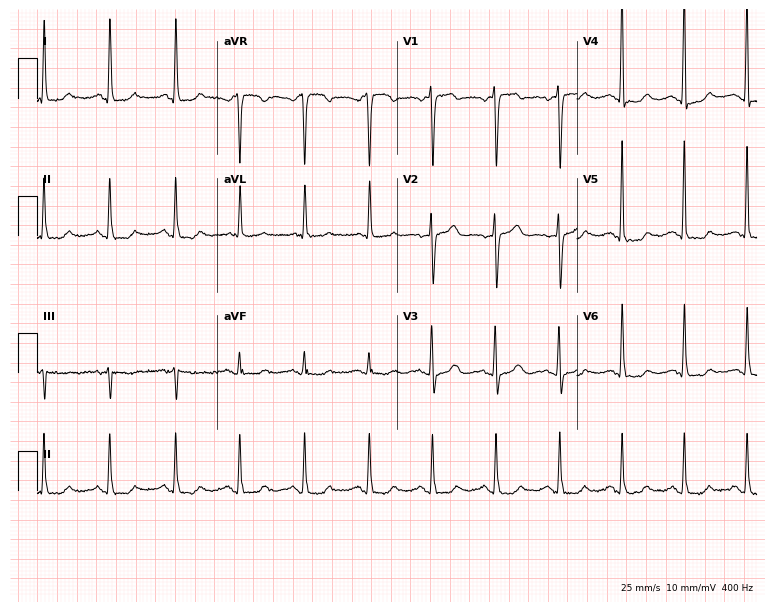
Resting 12-lead electrocardiogram (7.3-second recording at 400 Hz). Patient: a female, 72 years old. None of these six findings is recorded: first-degree AV block, right bundle branch block, left bundle branch block, sinus bradycardia, atrial fibrillation, sinus tachycardia. Other findings, if any, are not listed.